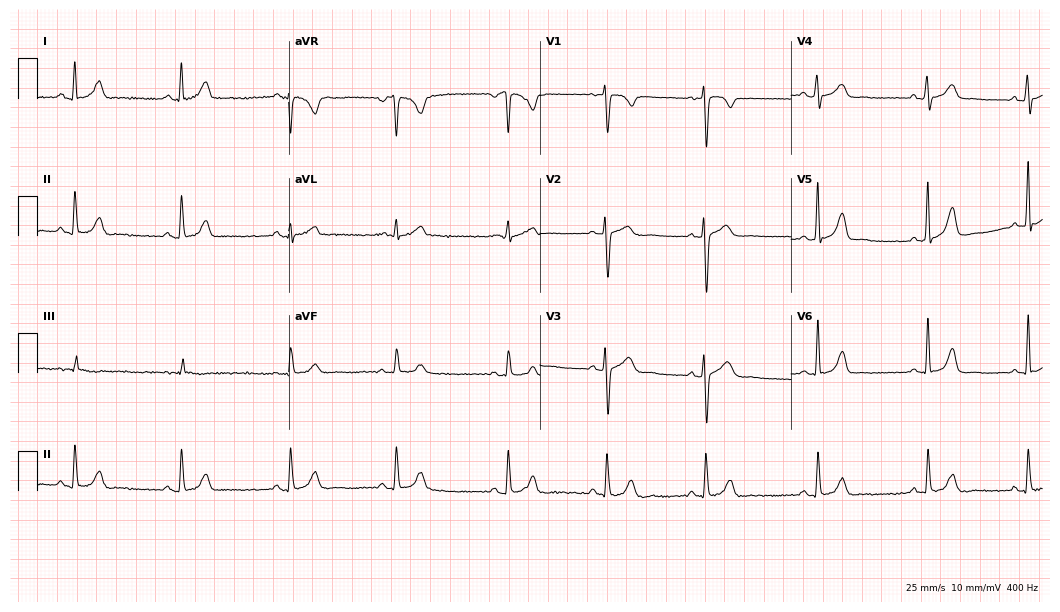
Standard 12-lead ECG recorded from a female patient, 23 years old (10.2-second recording at 400 Hz). Read as a normal ECG.